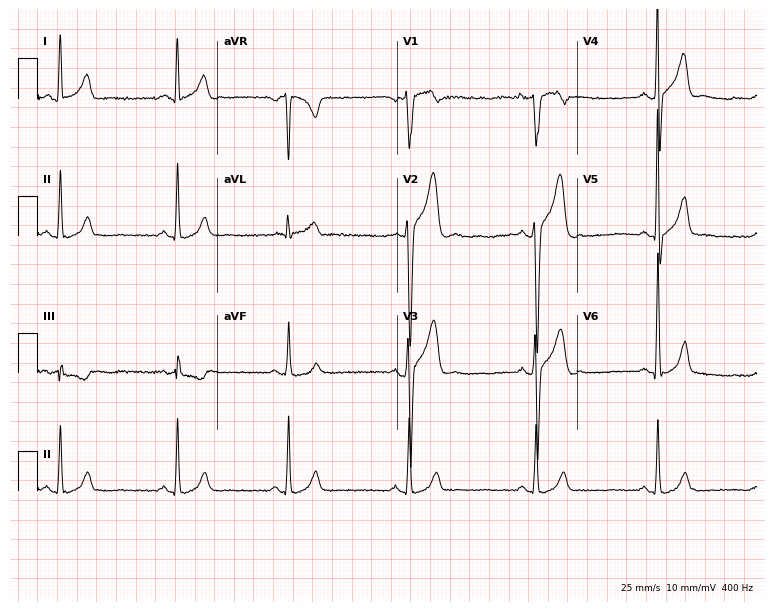
12-lead ECG from a 29-year-old woman. Screened for six findings — first-degree AV block, right bundle branch block, left bundle branch block, sinus bradycardia, atrial fibrillation, sinus tachycardia — none is recorded. Only these six findings were labelled.